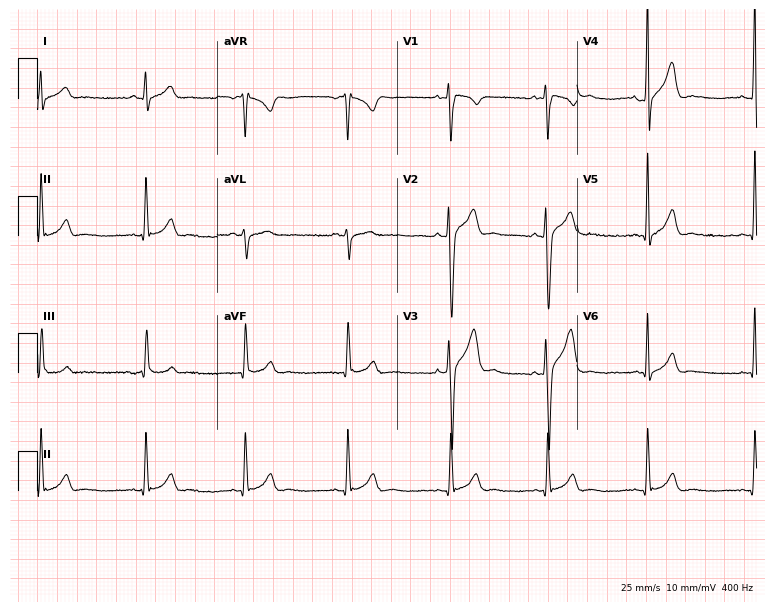
Electrocardiogram (7.3-second recording at 400 Hz), a man, 18 years old. Overall reading on record: normal ECG.